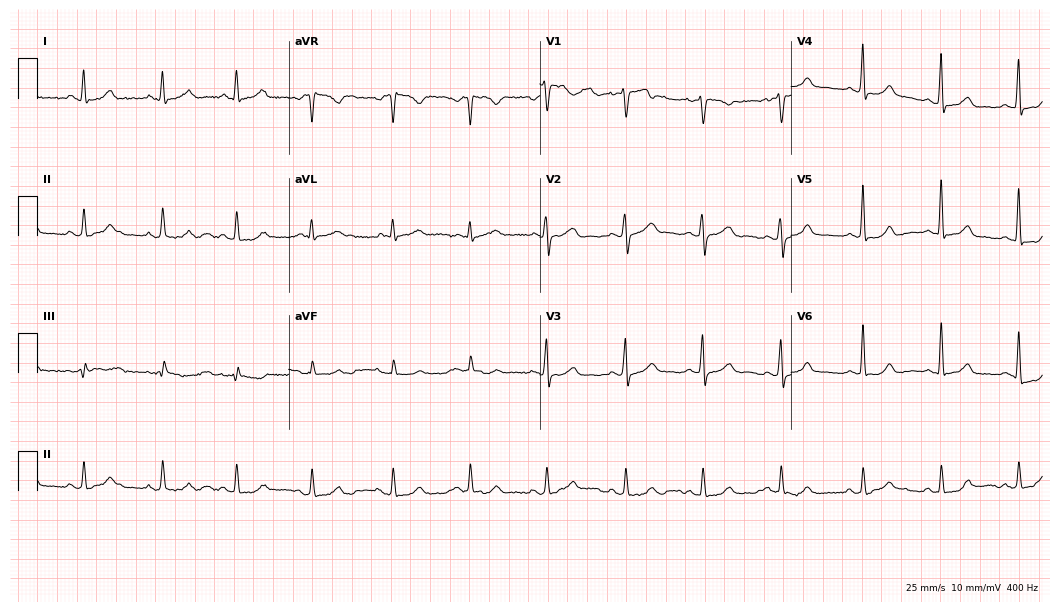
Standard 12-lead ECG recorded from a 33-year-old woman (10.2-second recording at 400 Hz). None of these six findings is recorded: first-degree AV block, right bundle branch block (RBBB), left bundle branch block (LBBB), sinus bradycardia, atrial fibrillation (AF), sinus tachycardia.